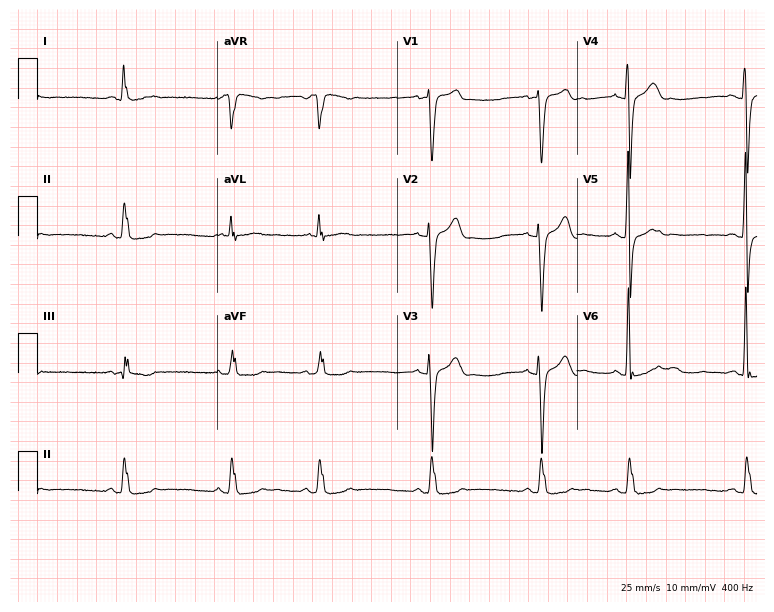
Resting 12-lead electrocardiogram (7.3-second recording at 400 Hz). Patient: a 71-year-old man. None of these six findings is recorded: first-degree AV block, right bundle branch block (RBBB), left bundle branch block (LBBB), sinus bradycardia, atrial fibrillation (AF), sinus tachycardia.